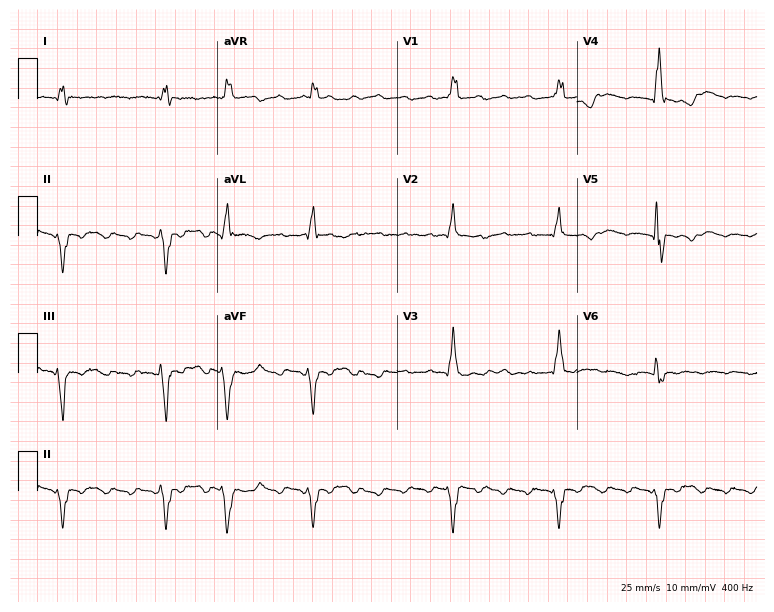
Electrocardiogram, a man, 67 years old. Interpretation includes right bundle branch block (RBBB), atrial fibrillation (AF).